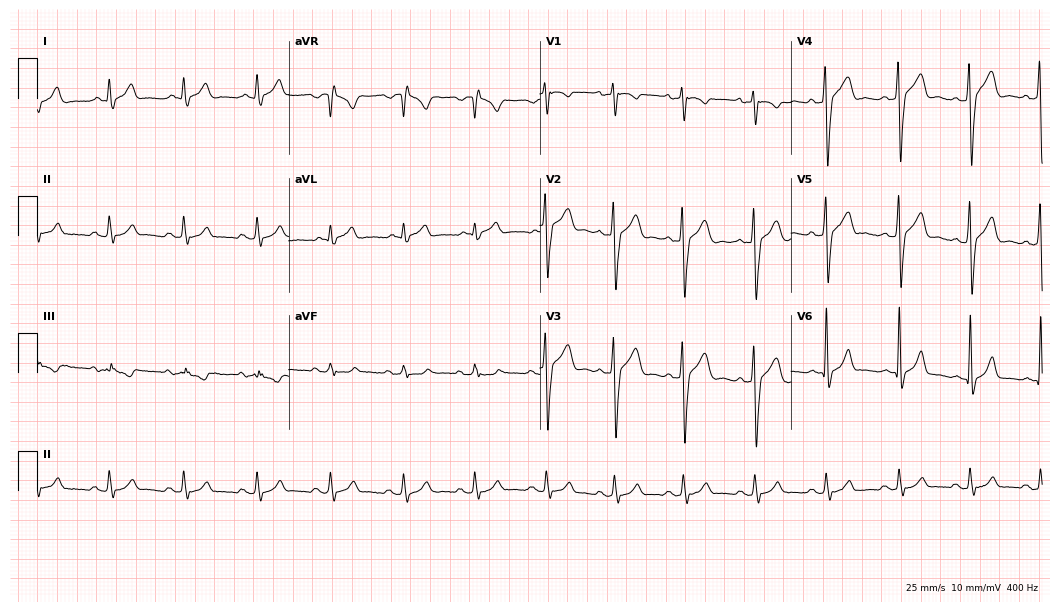
Resting 12-lead electrocardiogram (10.2-second recording at 400 Hz). Patient: a 34-year-old man. None of these six findings is recorded: first-degree AV block, right bundle branch block (RBBB), left bundle branch block (LBBB), sinus bradycardia, atrial fibrillation (AF), sinus tachycardia. Other findings, if any, are not listed.